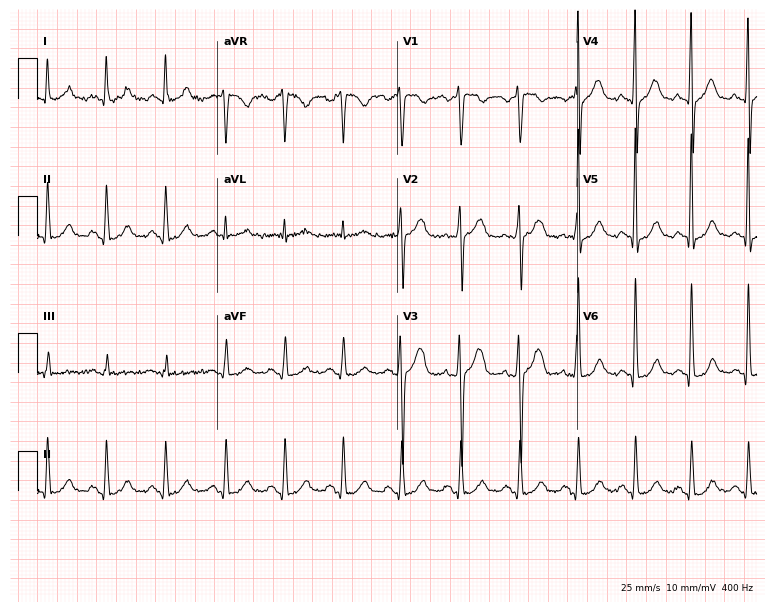
12-lead ECG from a 48-year-old male. Screened for six findings — first-degree AV block, right bundle branch block, left bundle branch block, sinus bradycardia, atrial fibrillation, sinus tachycardia — none is recorded.